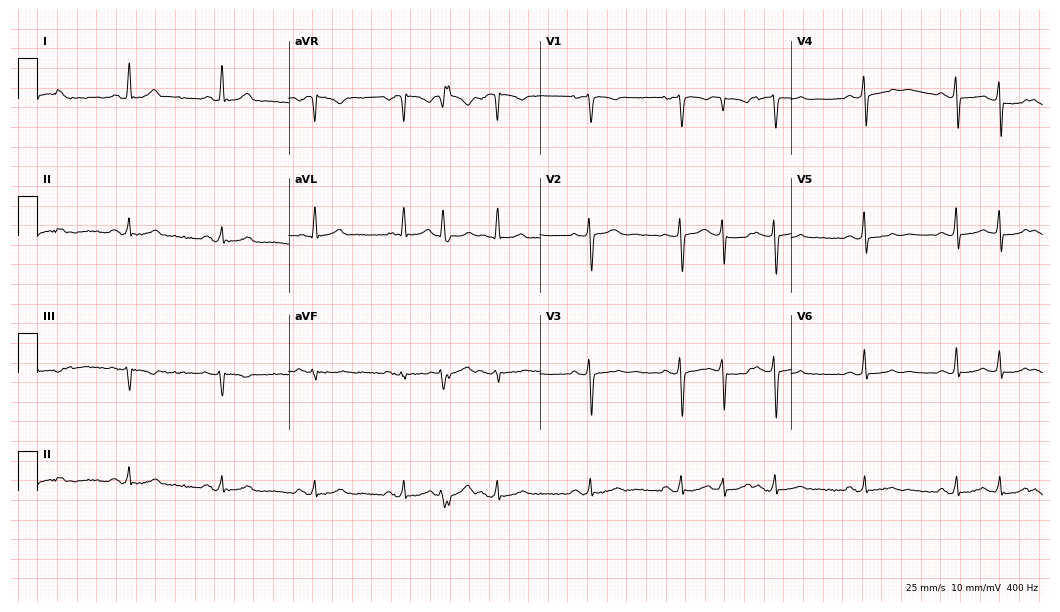
ECG (10.2-second recording at 400 Hz) — a 67-year-old woman. Screened for six findings — first-degree AV block, right bundle branch block (RBBB), left bundle branch block (LBBB), sinus bradycardia, atrial fibrillation (AF), sinus tachycardia — none is recorded.